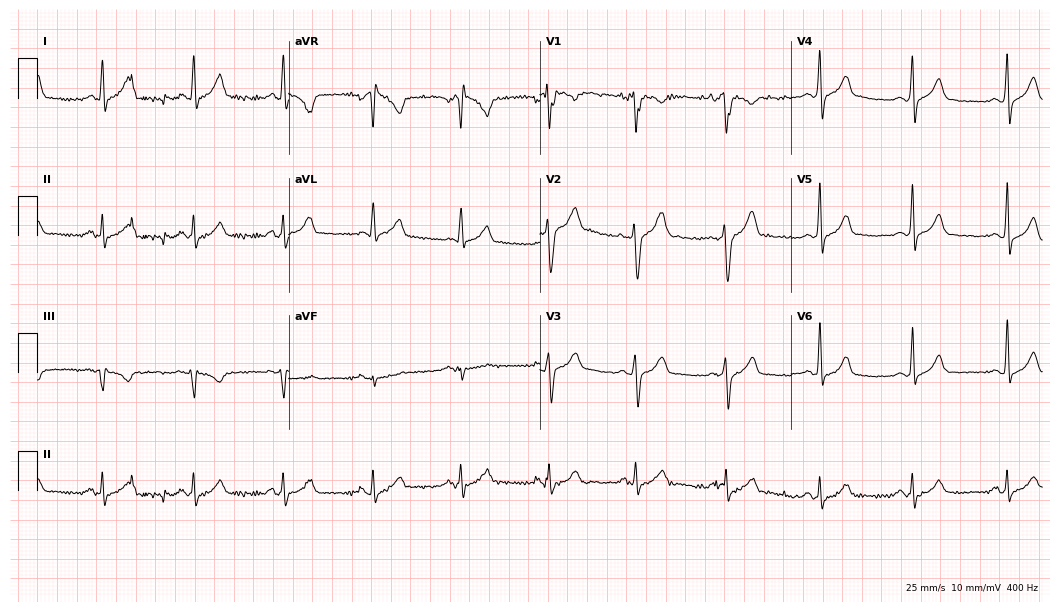
12-lead ECG (10.2-second recording at 400 Hz) from a 29-year-old man. Labelled as a normal ECG.